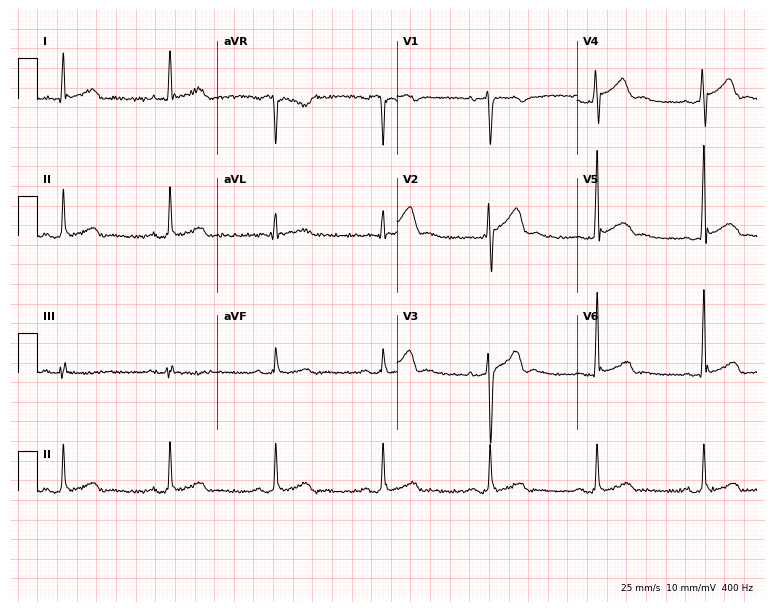
12-lead ECG from a 55-year-old male (7.3-second recording at 400 Hz). Recorded interpretation: within normal limits.